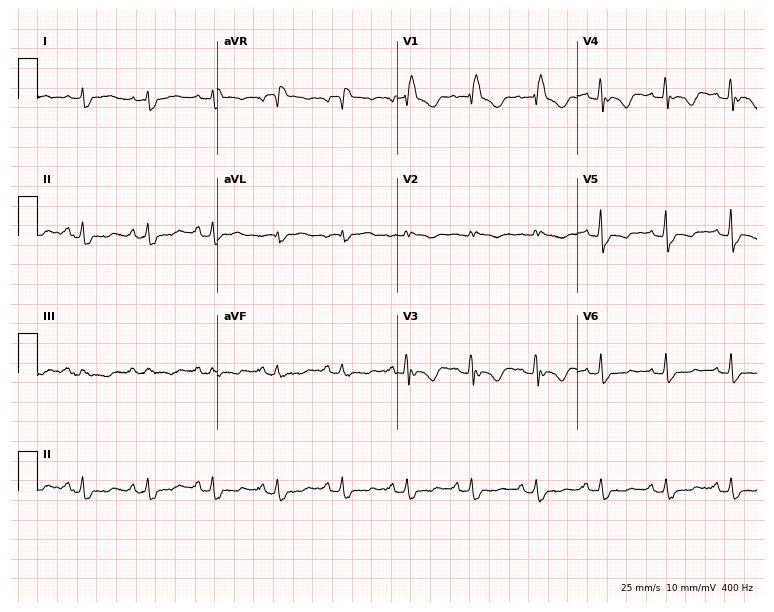
12-lead ECG from a 41-year-old female. Findings include right bundle branch block (RBBB).